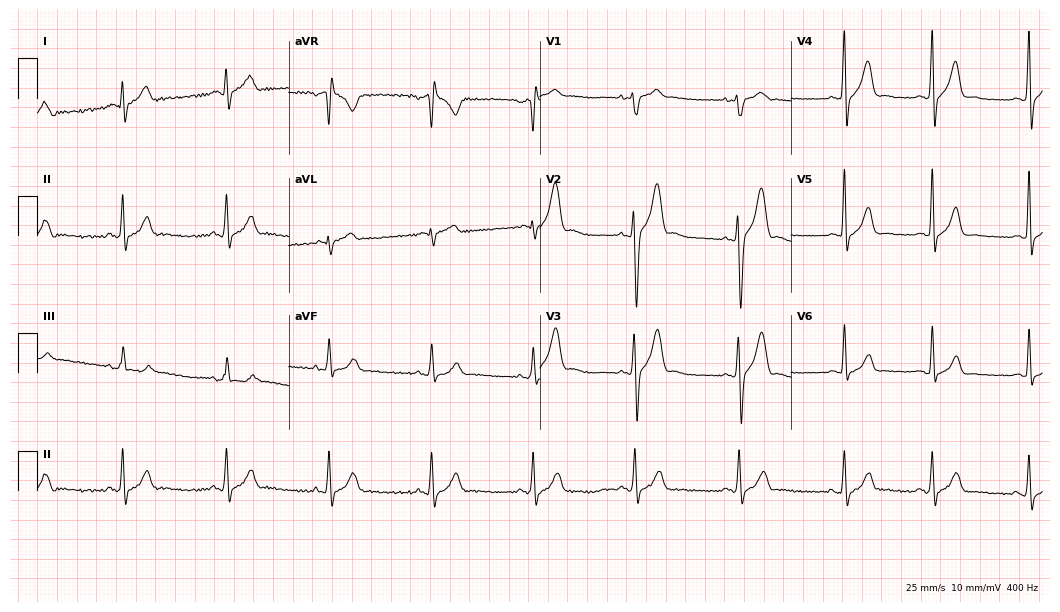
12-lead ECG (10.2-second recording at 400 Hz) from a 25-year-old man. Screened for six findings — first-degree AV block, right bundle branch block, left bundle branch block, sinus bradycardia, atrial fibrillation, sinus tachycardia — none is recorded. Findings outside these six are not listed.